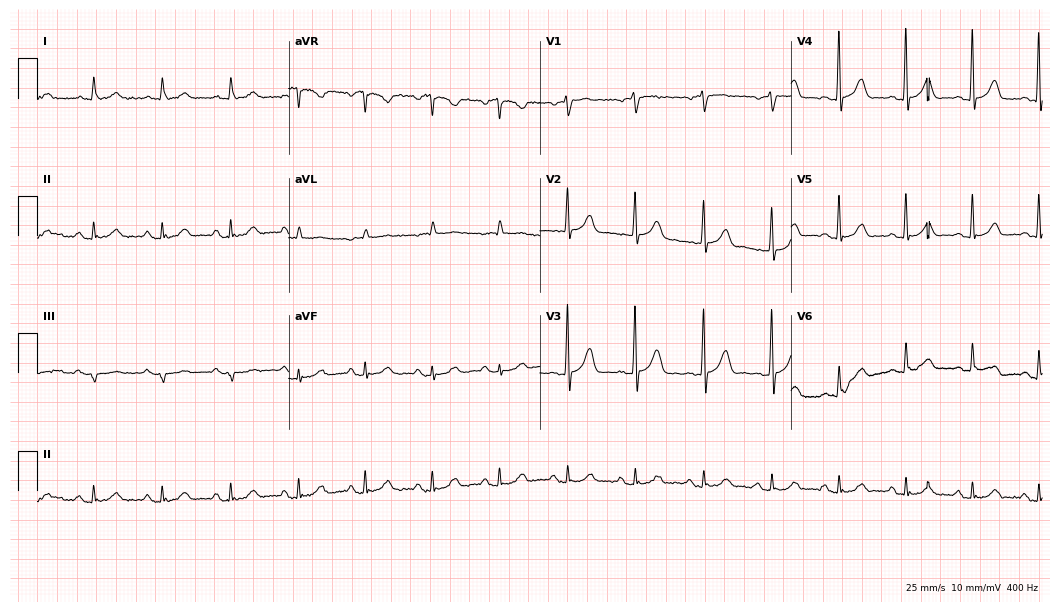
Electrocardiogram, a man, 82 years old. Overall reading on record: normal ECG.